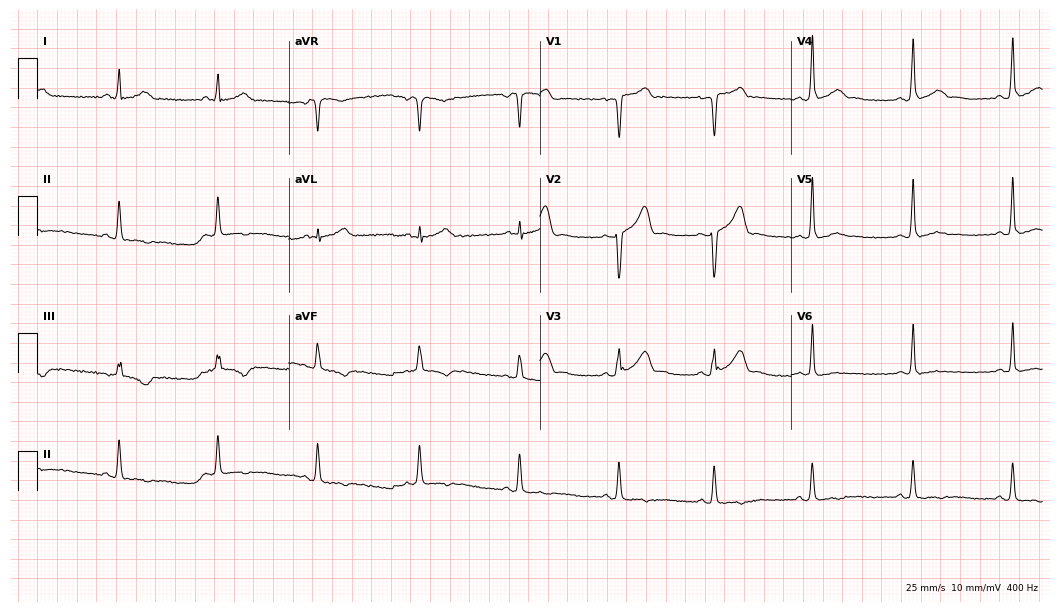
Resting 12-lead electrocardiogram. Patient: a 32-year-old male. None of these six findings is recorded: first-degree AV block, right bundle branch block, left bundle branch block, sinus bradycardia, atrial fibrillation, sinus tachycardia. Other findings, if any, are not listed.